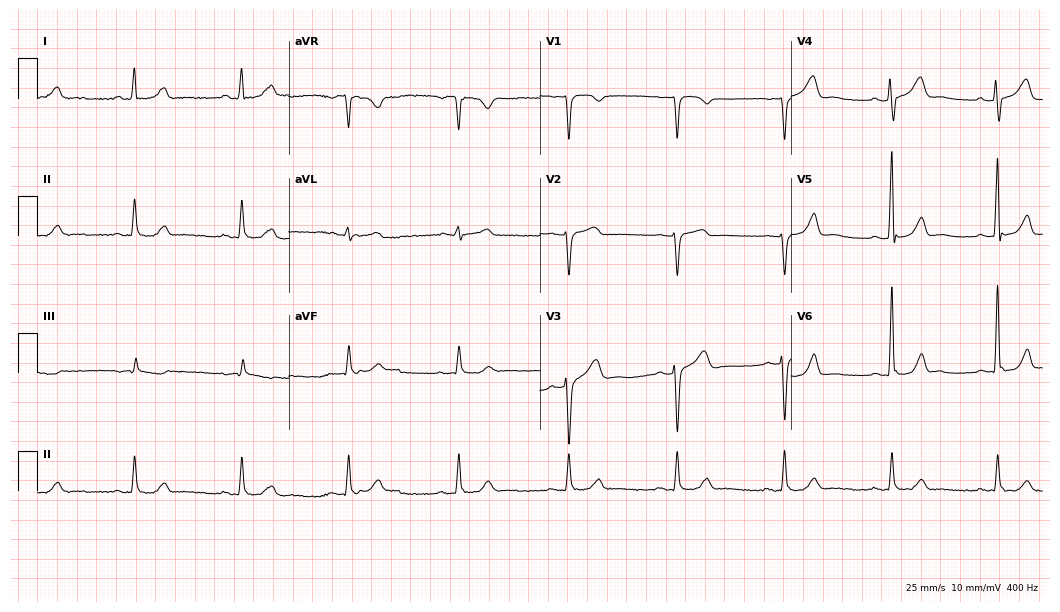
Electrocardiogram, a 58-year-old man. Of the six screened findings (first-degree AV block, right bundle branch block, left bundle branch block, sinus bradycardia, atrial fibrillation, sinus tachycardia), none is recorded. Only these six findings were labelled.